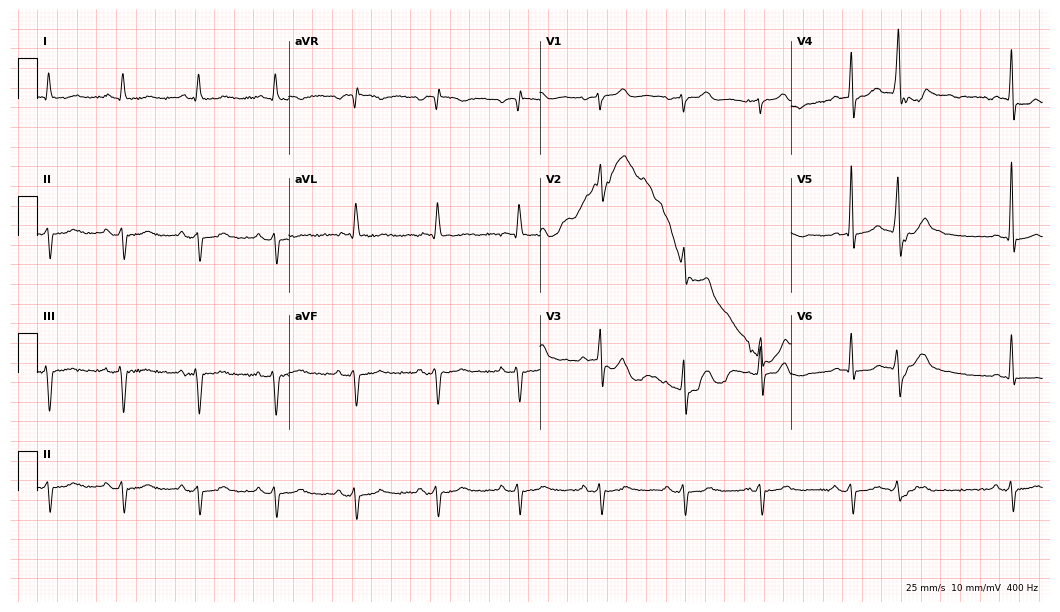
ECG (10.2-second recording at 400 Hz) — a man, 79 years old. Screened for six findings — first-degree AV block, right bundle branch block, left bundle branch block, sinus bradycardia, atrial fibrillation, sinus tachycardia — none is recorded.